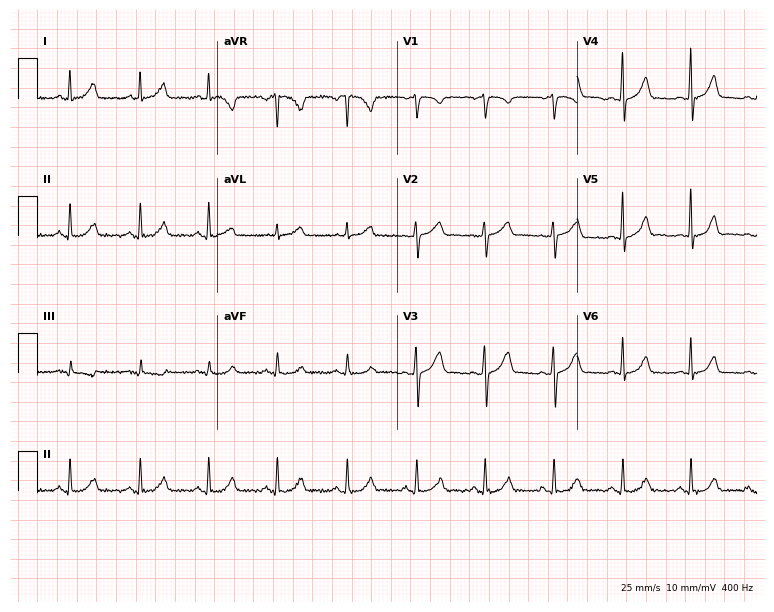
Electrocardiogram (7.3-second recording at 400 Hz), a female, 39 years old. Overall reading on record: normal ECG.